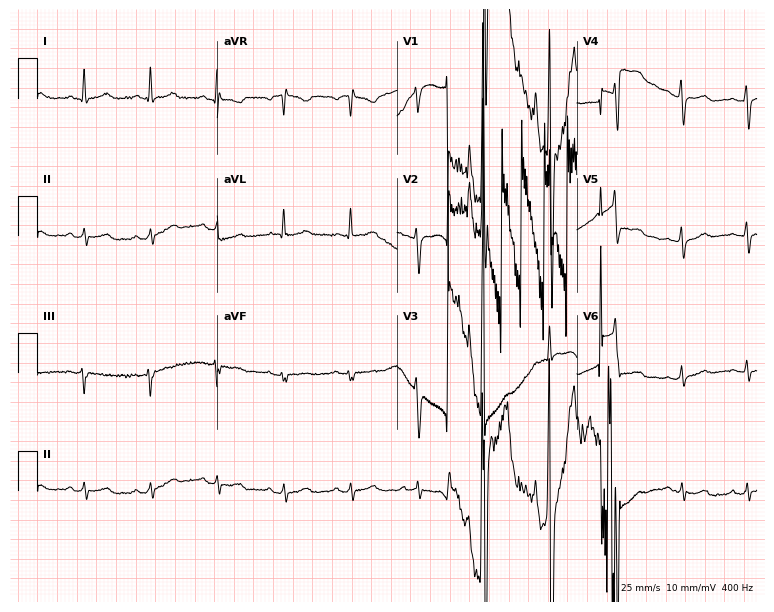
Standard 12-lead ECG recorded from a female patient, 49 years old (7.3-second recording at 400 Hz). None of these six findings is recorded: first-degree AV block, right bundle branch block, left bundle branch block, sinus bradycardia, atrial fibrillation, sinus tachycardia. Findings outside these six are not listed.